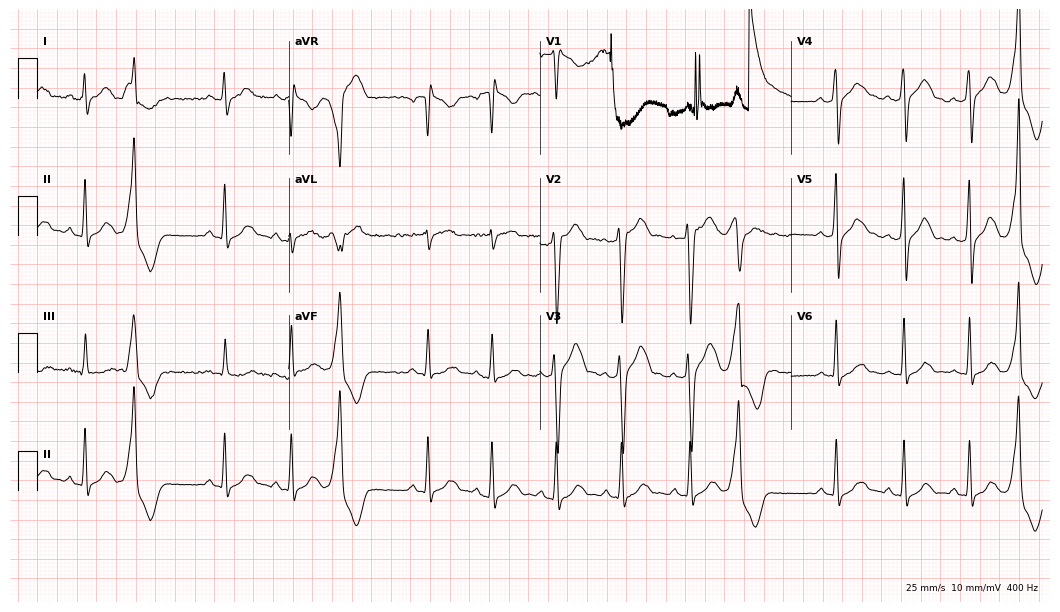
Electrocardiogram, a male, 39 years old. Of the six screened findings (first-degree AV block, right bundle branch block, left bundle branch block, sinus bradycardia, atrial fibrillation, sinus tachycardia), none is recorded.